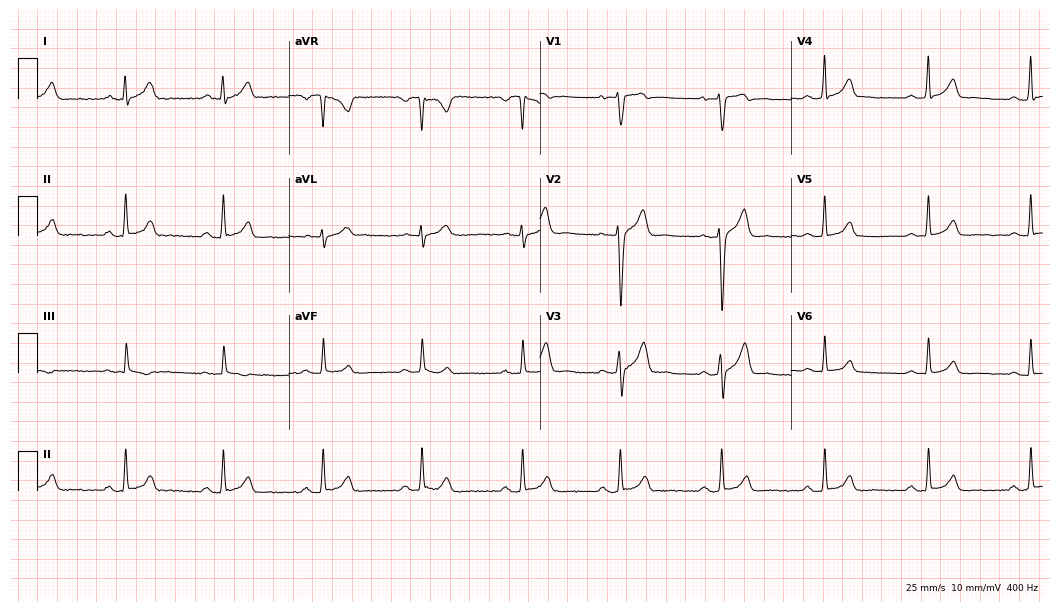
12-lead ECG (10.2-second recording at 400 Hz) from a male patient, 36 years old. Labelled as a normal ECG.